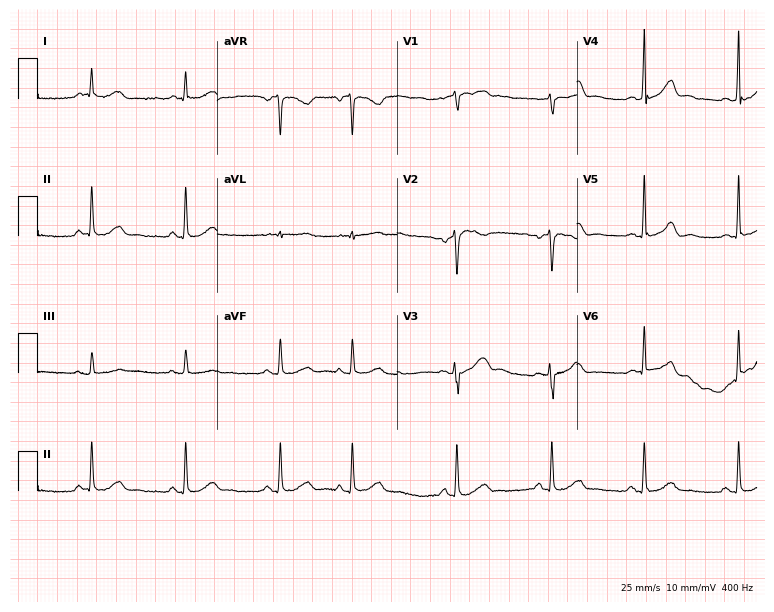
Electrocardiogram, a 41-year-old female patient. Overall reading on record: normal ECG.